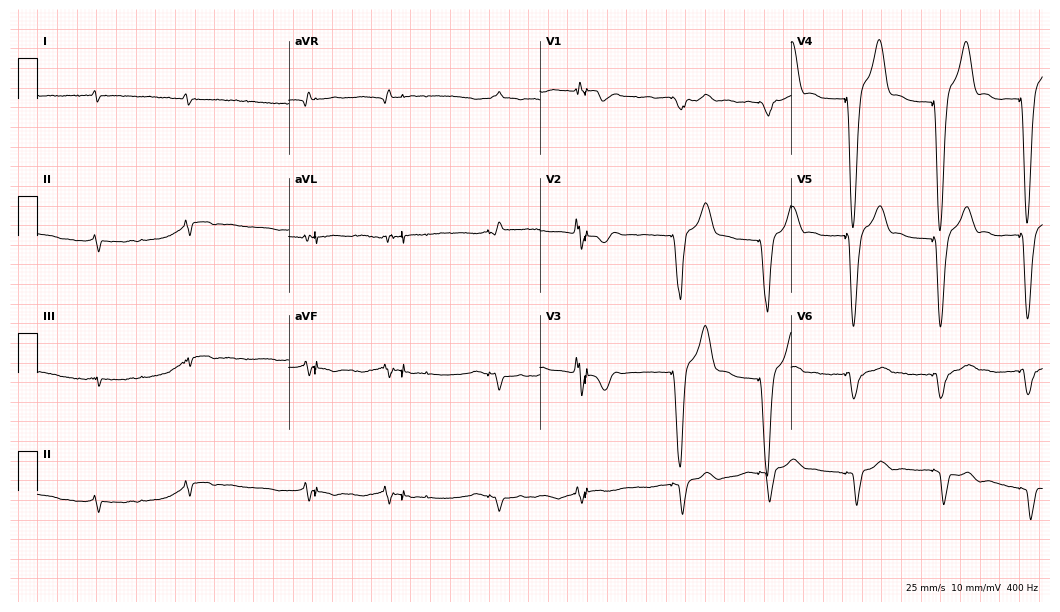
12-lead ECG from a male, 83 years old. Screened for six findings — first-degree AV block, right bundle branch block, left bundle branch block, sinus bradycardia, atrial fibrillation, sinus tachycardia — none is recorded.